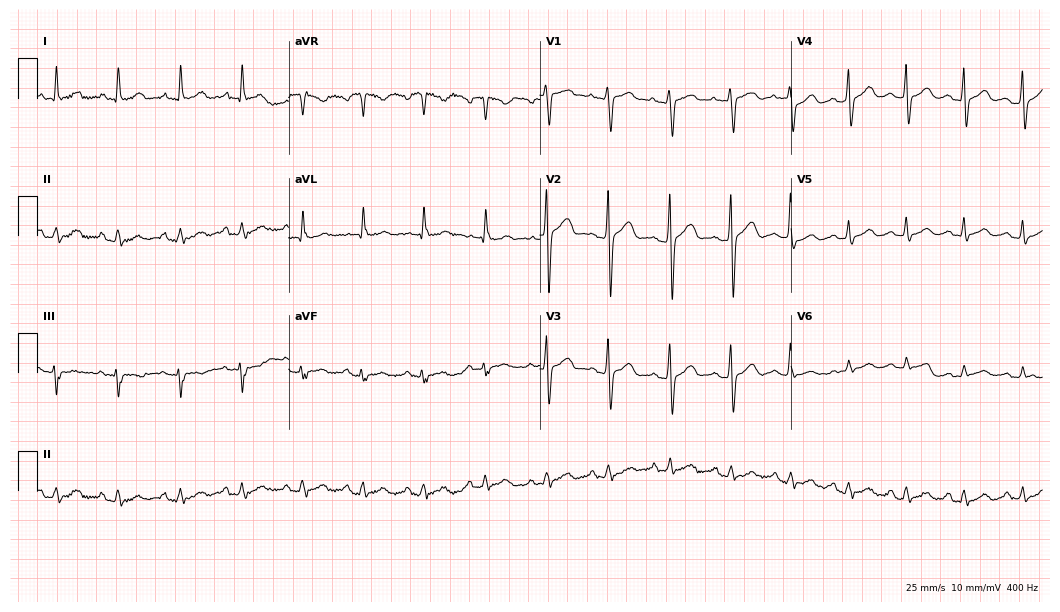
12-lead ECG (10.2-second recording at 400 Hz) from a man, 43 years old. Labelled as a normal ECG.